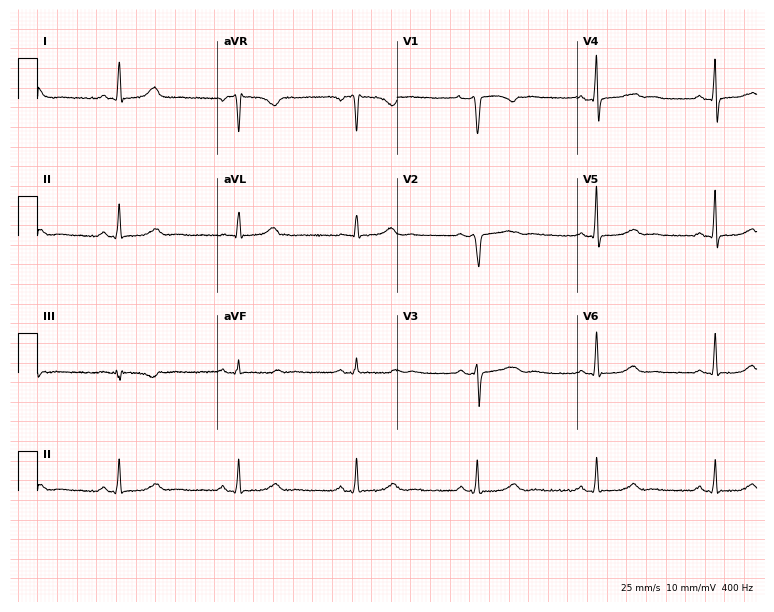
12-lead ECG from a female patient, 44 years old (7.3-second recording at 400 Hz). No first-degree AV block, right bundle branch block, left bundle branch block, sinus bradycardia, atrial fibrillation or sinus tachycardia recorded for this tracing. Other findings, if any, are not listed.